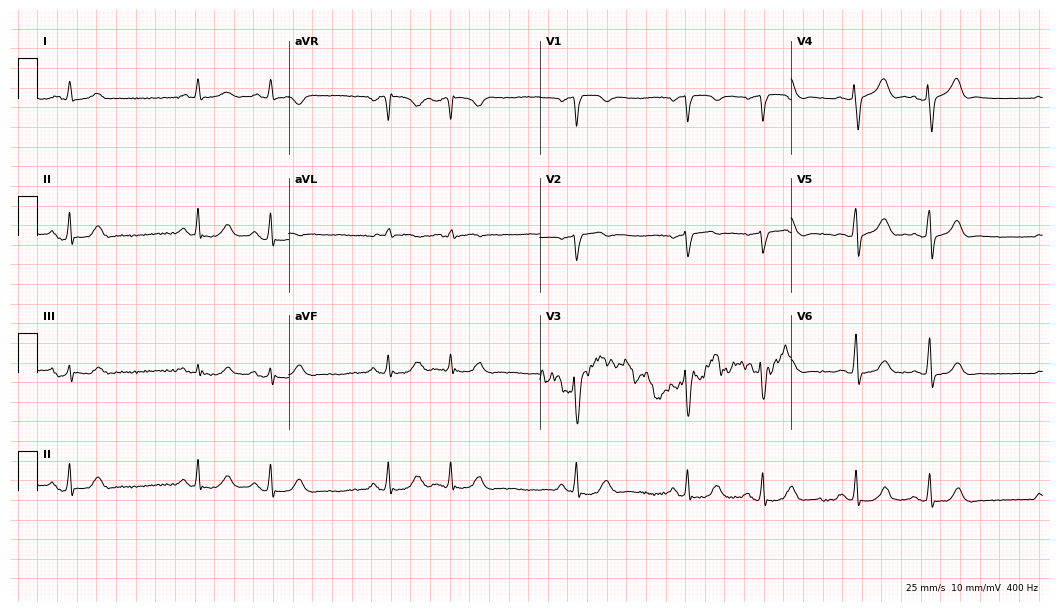
Standard 12-lead ECG recorded from an 84-year-old male patient (10.2-second recording at 400 Hz). None of these six findings is recorded: first-degree AV block, right bundle branch block (RBBB), left bundle branch block (LBBB), sinus bradycardia, atrial fibrillation (AF), sinus tachycardia. Only these six findings were labelled.